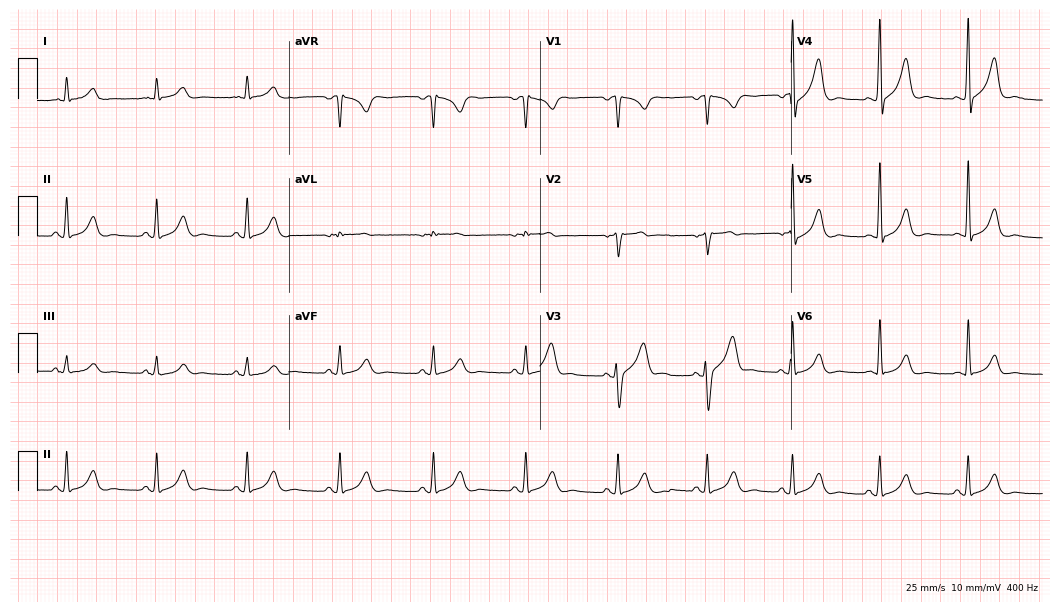
Resting 12-lead electrocardiogram (10.2-second recording at 400 Hz). Patient: a 45-year-old male. Read as a normal ECG.